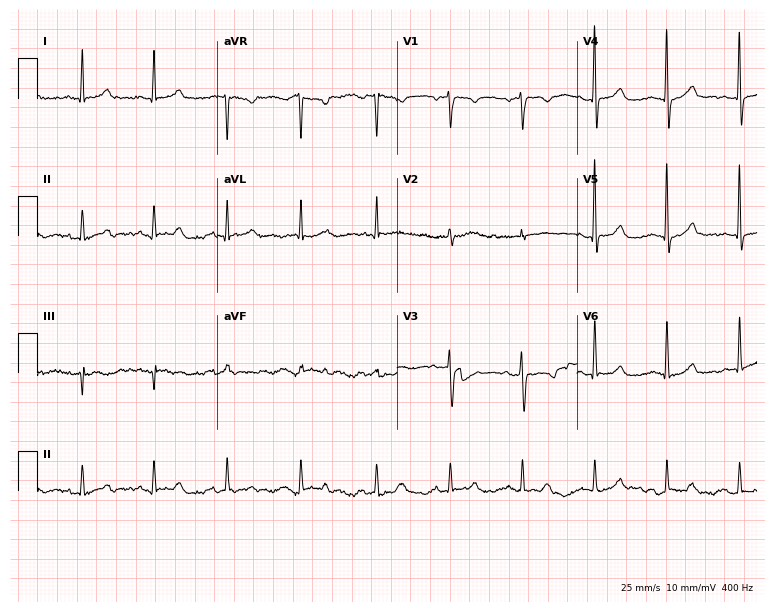
12-lead ECG from a 52-year-old female patient. Recorded interpretation: within normal limits.